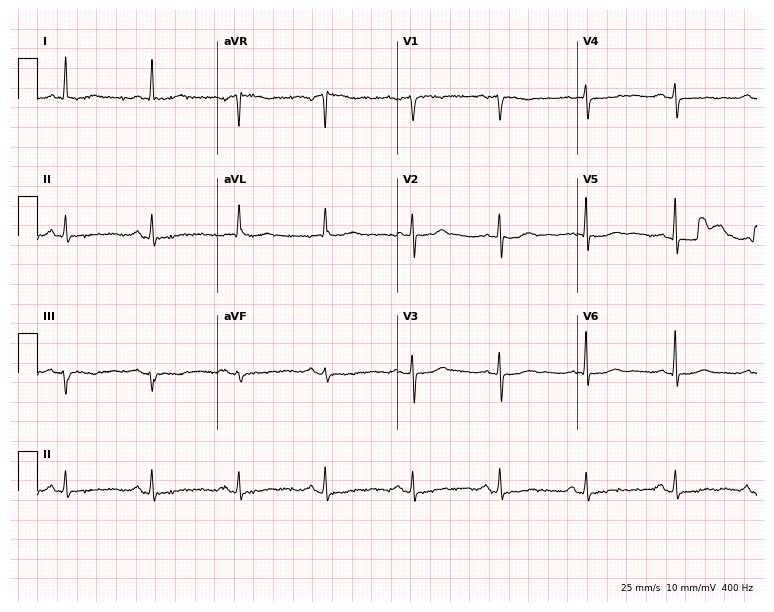
Electrocardiogram (7.3-second recording at 400 Hz), a female, 75 years old. Of the six screened findings (first-degree AV block, right bundle branch block (RBBB), left bundle branch block (LBBB), sinus bradycardia, atrial fibrillation (AF), sinus tachycardia), none is recorded.